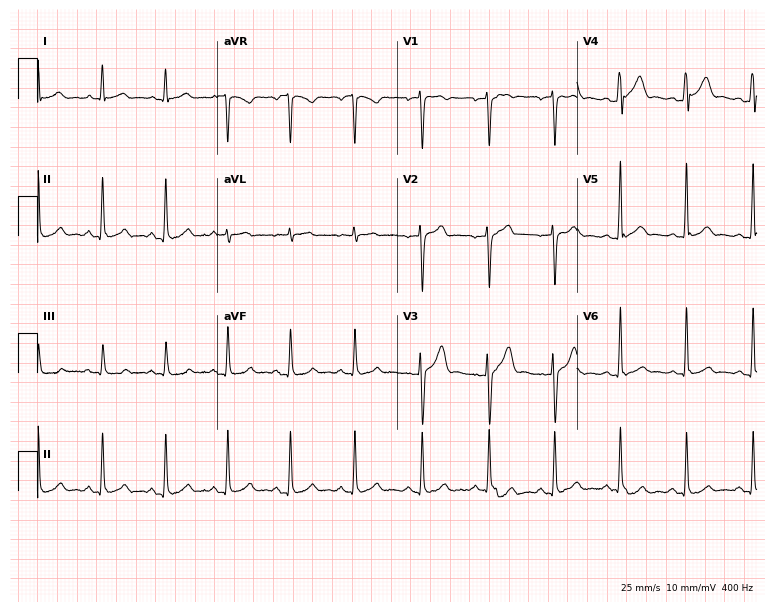
12-lead ECG from a 33-year-old man (7.3-second recording at 400 Hz). Recorded interpretation: within normal limits.